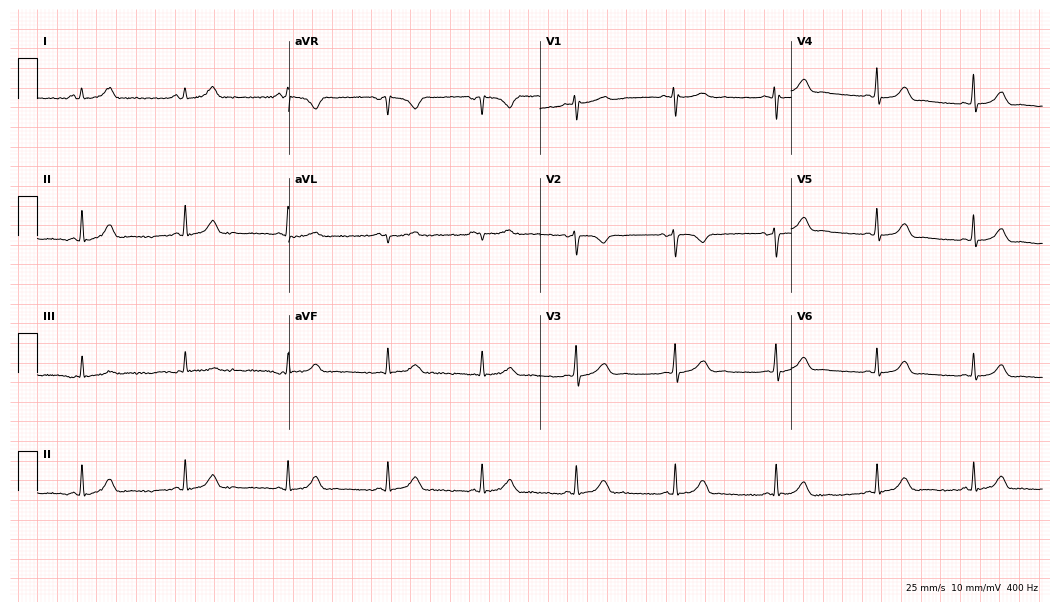
Standard 12-lead ECG recorded from a female patient, 30 years old. Read as a normal ECG.